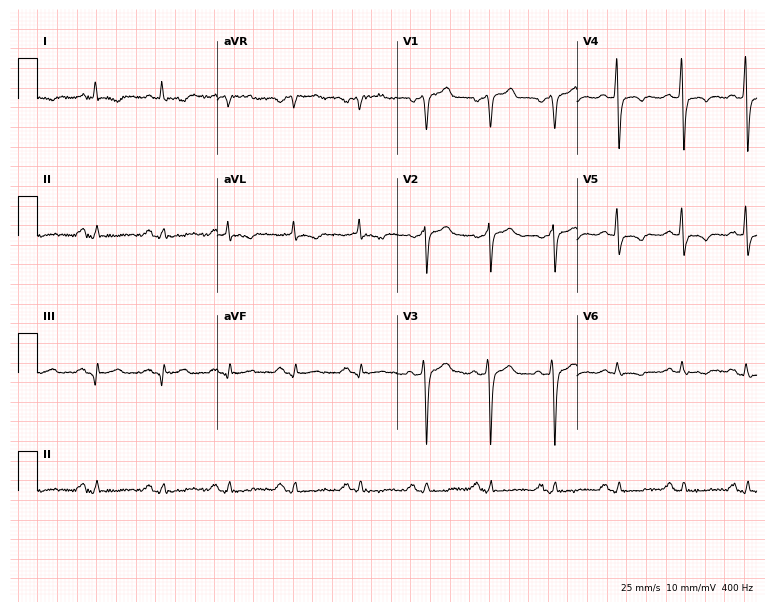
ECG (7.3-second recording at 400 Hz) — a man, 67 years old. Screened for six findings — first-degree AV block, right bundle branch block, left bundle branch block, sinus bradycardia, atrial fibrillation, sinus tachycardia — none is recorded.